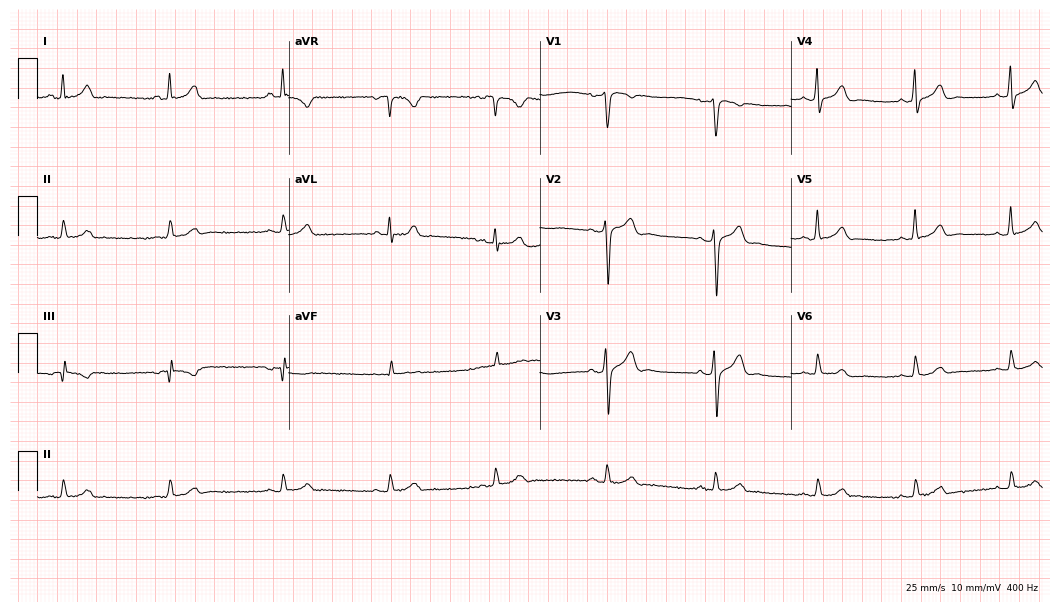
ECG (10.2-second recording at 400 Hz) — a 55-year-old man. Labelled as a normal ECG.